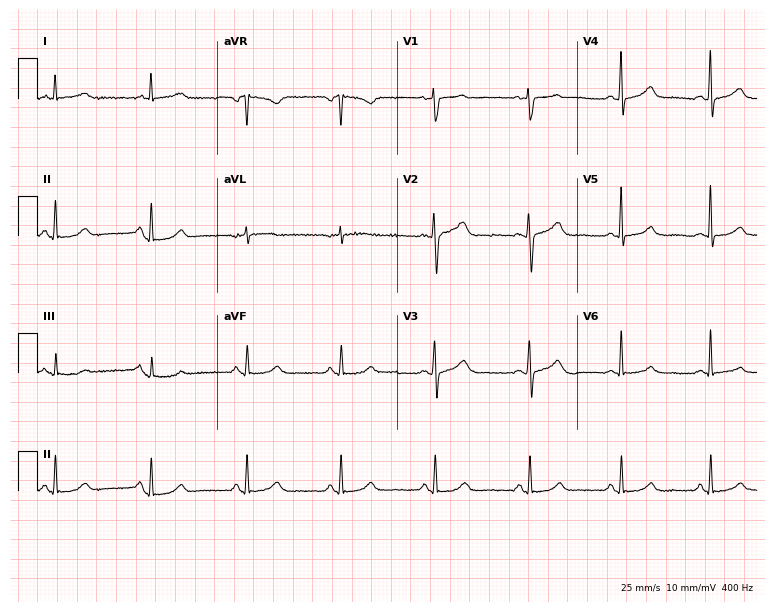
12-lead ECG from a female, 57 years old. Labelled as a normal ECG.